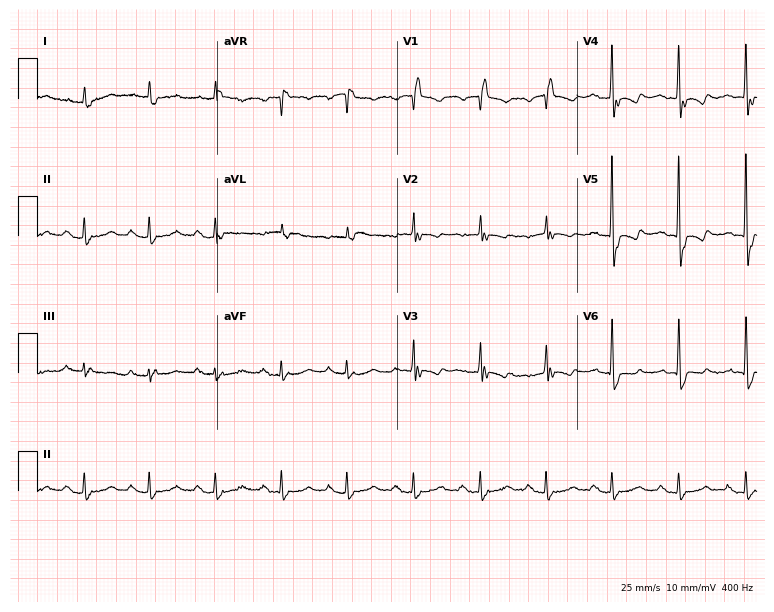
ECG (7.3-second recording at 400 Hz) — a 78-year-old man. Screened for six findings — first-degree AV block, right bundle branch block, left bundle branch block, sinus bradycardia, atrial fibrillation, sinus tachycardia — none is recorded.